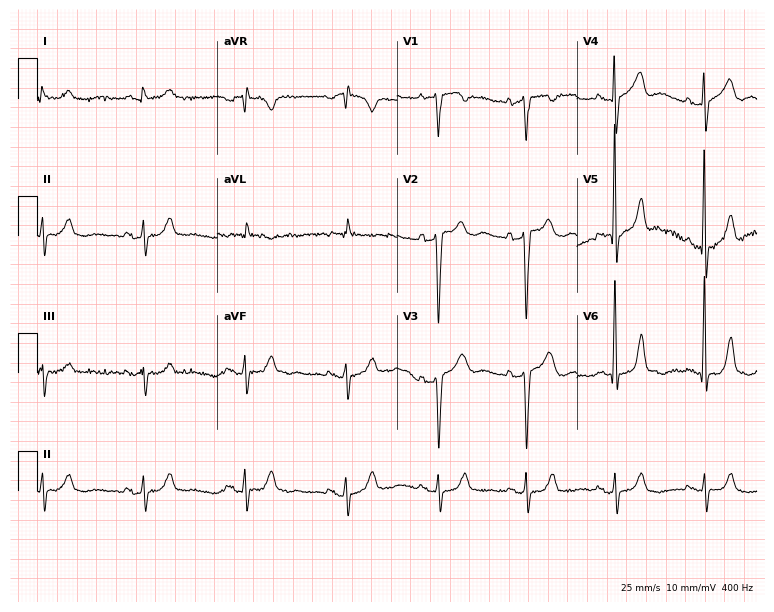
Standard 12-lead ECG recorded from a male, 83 years old (7.3-second recording at 400 Hz). Read as a normal ECG.